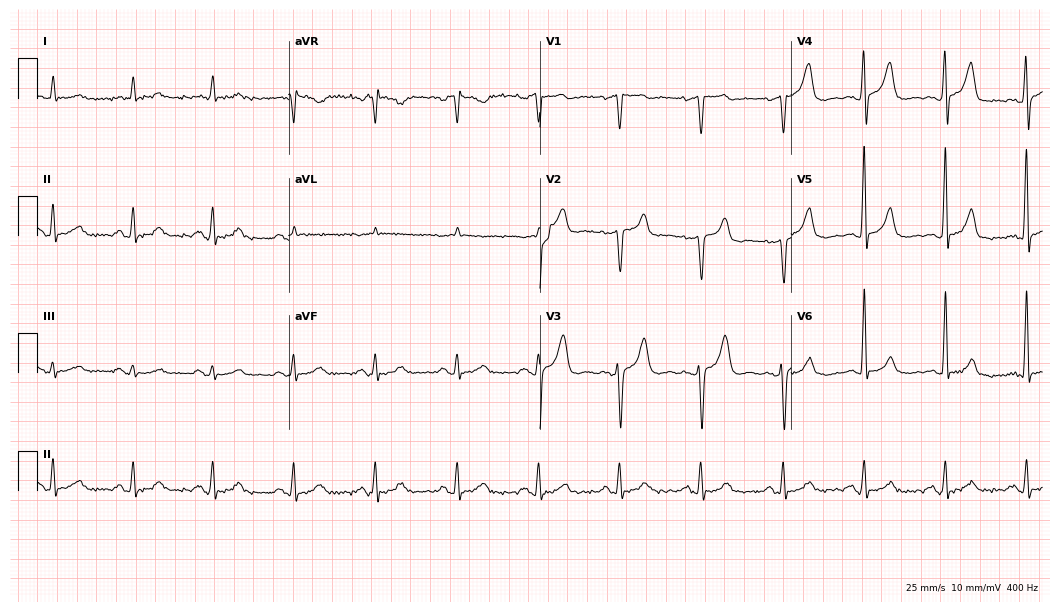
Resting 12-lead electrocardiogram. Patient: a male, 57 years old. Read as a normal ECG.